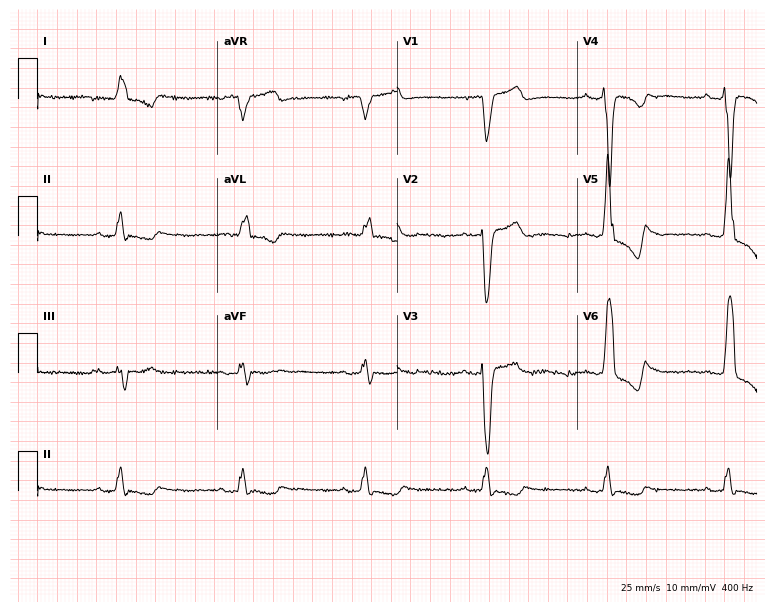
ECG — a 77-year-old man. Findings include left bundle branch block, sinus bradycardia (a sinus rate of 50 beats per minute or less).